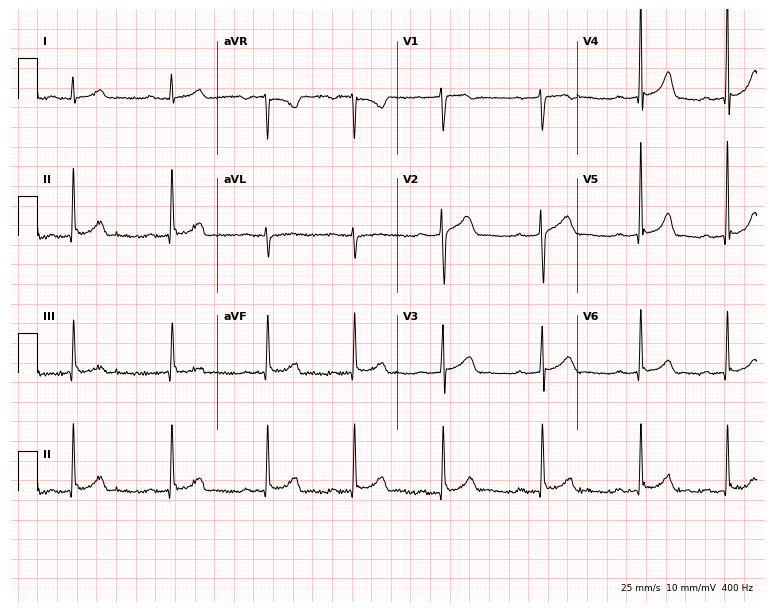
Resting 12-lead electrocardiogram. Patient: a 22-year-old male. None of these six findings is recorded: first-degree AV block, right bundle branch block, left bundle branch block, sinus bradycardia, atrial fibrillation, sinus tachycardia. Findings outside these six are not listed.